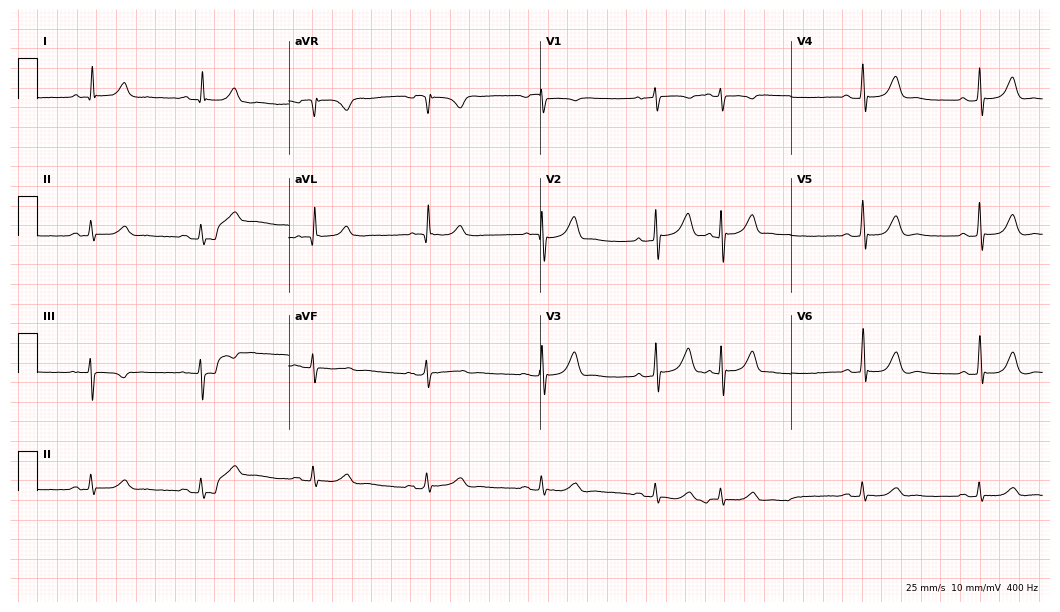
Resting 12-lead electrocardiogram. Patient: a male, 83 years old. Read as a normal ECG.